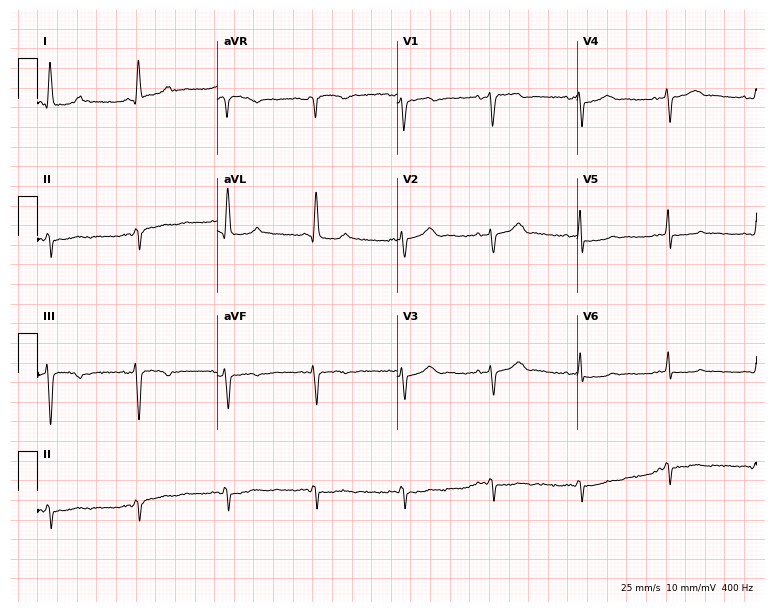
Resting 12-lead electrocardiogram (7.3-second recording at 400 Hz). Patient: a 61-year-old female. None of these six findings is recorded: first-degree AV block, right bundle branch block (RBBB), left bundle branch block (LBBB), sinus bradycardia, atrial fibrillation (AF), sinus tachycardia. Only these six findings were labelled.